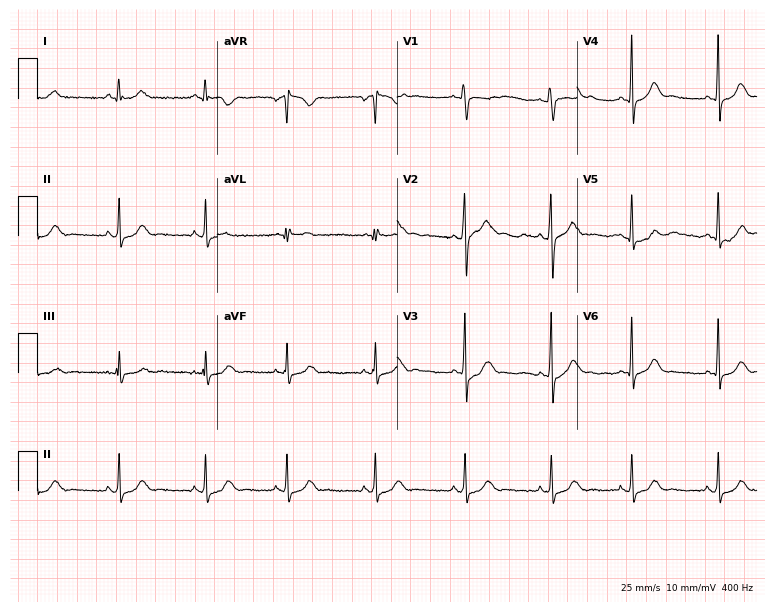
Resting 12-lead electrocardiogram (7.3-second recording at 400 Hz). Patient: a 22-year-old woman. Read as a normal ECG.